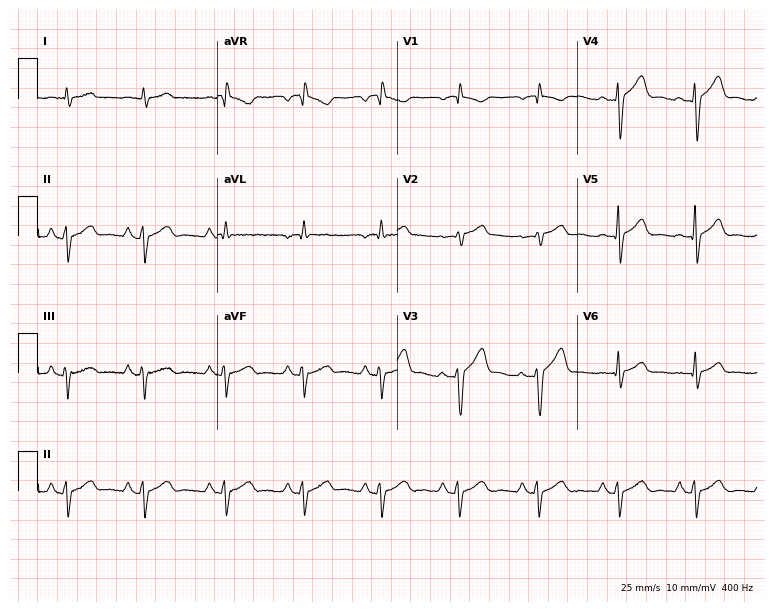
12-lead ECG from a 59-year-old male patient. No first-degree AV block, right bundle branch block, left bundle branch block, sinus bradycardia, atrial fibrillation or sinus tachycardia recorded for this tracing.